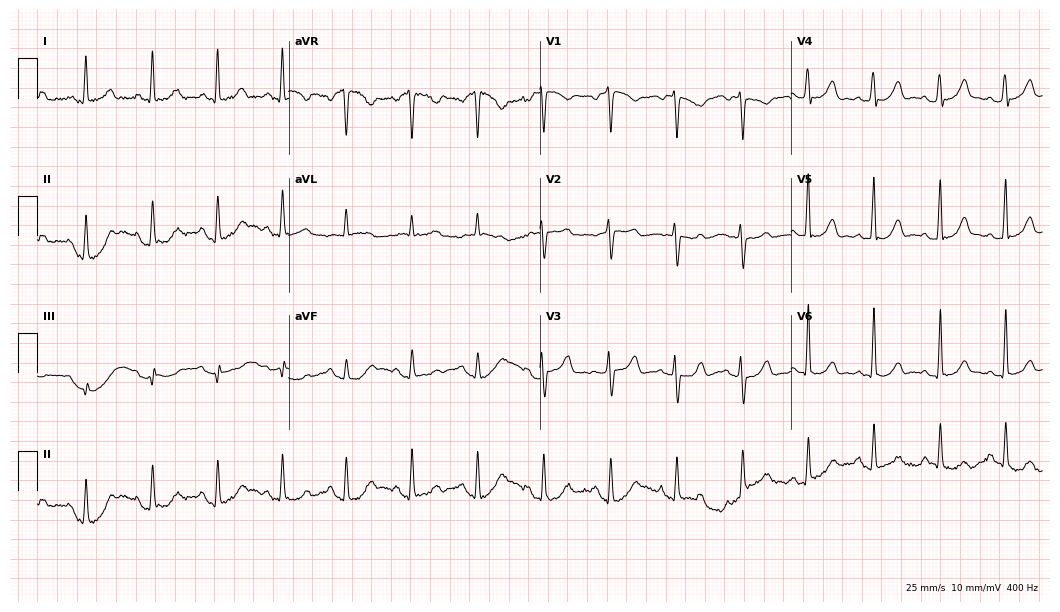
Resting 12-lead electrocardiogram (10.2-second recording at 400 Hz). Patient: a female, 41 years old. None of these six findings is recorded: first-degree AV block, right bundle branch block, left bundle branch block, sinus bradycardia, atrial fibrillation, sinus tachycardia. Other findings, if any, are not listed.